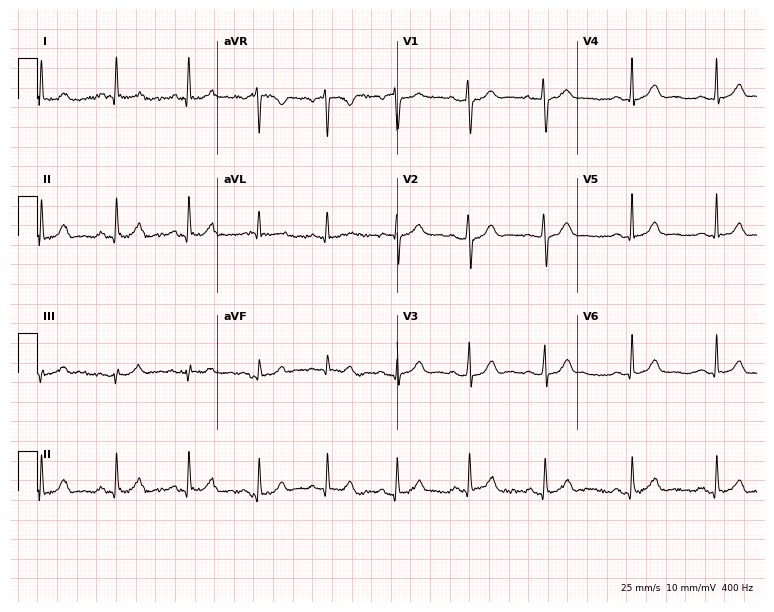
Electrocardiogram, a 56-year-old man. Overall reading on record: normal ECG.